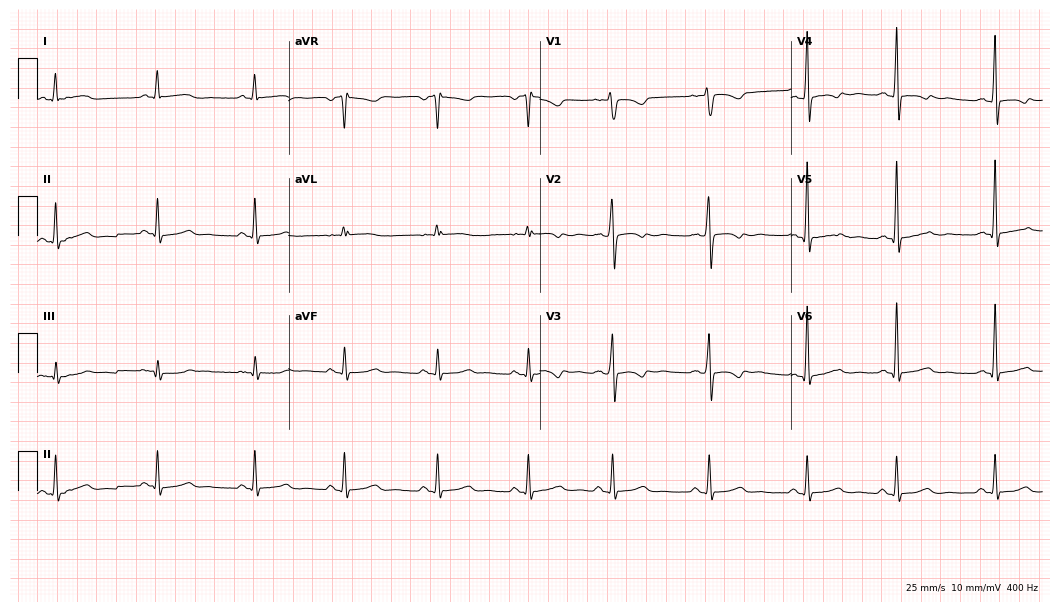
Standard 12-lead ECG recorded from a woman, 58 years old. None of these six findings is recorded: first-degree AV block, right bundle branch block, left bundle branch block, sinus bradycardia, atrial fibrillation, sinus tachycardia.